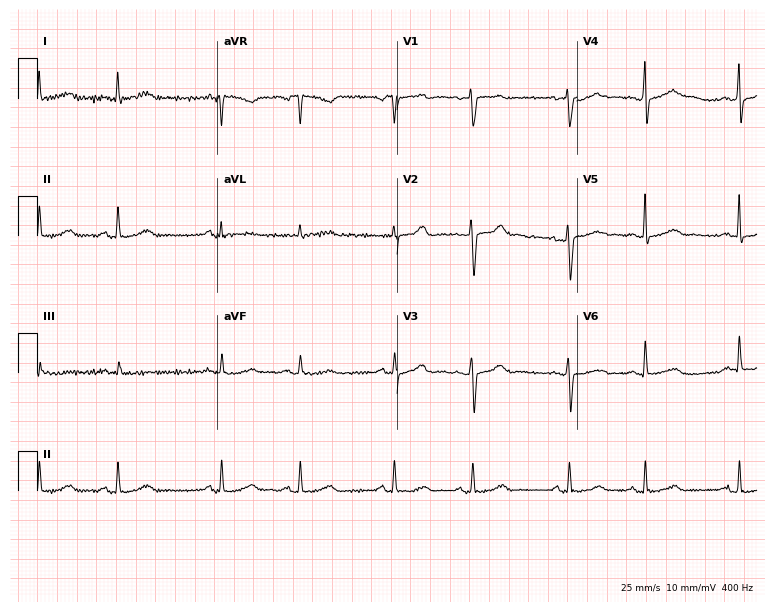
Standard 12-lead ECG recorded from a female patient, 51 years old (7.3-second recording at 400 Hz). Read as a normal ECG.